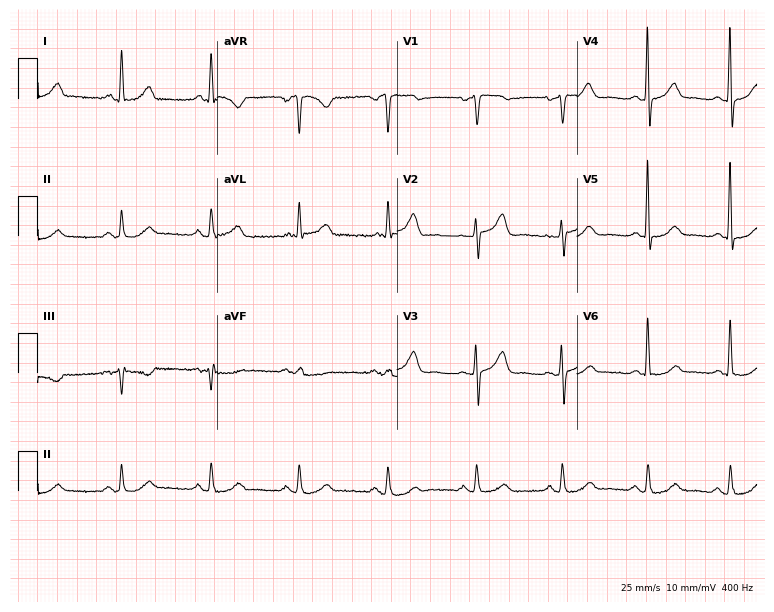
12-lead ECG (7.3-second recording at 400 Hz) from a woman, 68 years old. Labelled as a normal ECG.